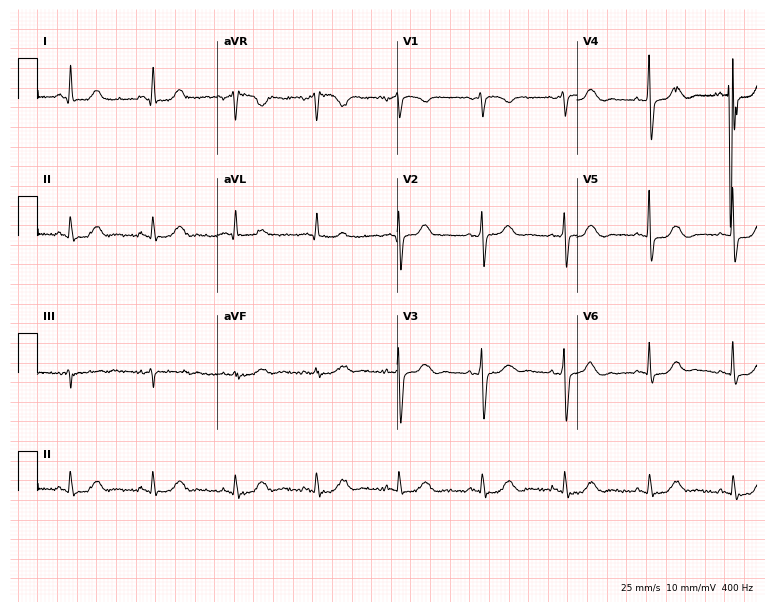
Standard 12-lead ECG recorded from a 55-year-old woman. Read as a normal ECG.